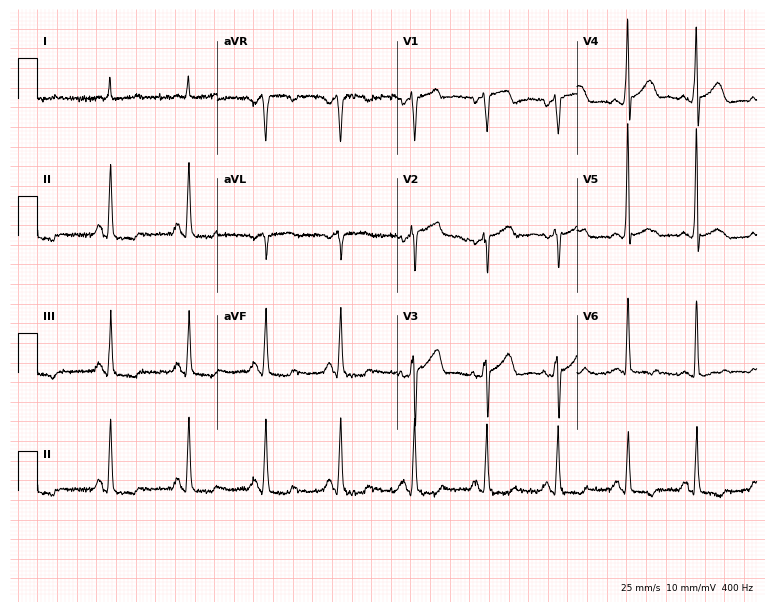
12-lead ECG from a male patient, 51 years old (7.3-second recording at 400 Hz). No first-degree AV block, right bundle branch block (RBBB), left bundle branch block (LBBB), sinus bradycardia, atrial fibrillation (AF) or sinus tachycardia recorded for this tracing. Only these six findings were labelled.